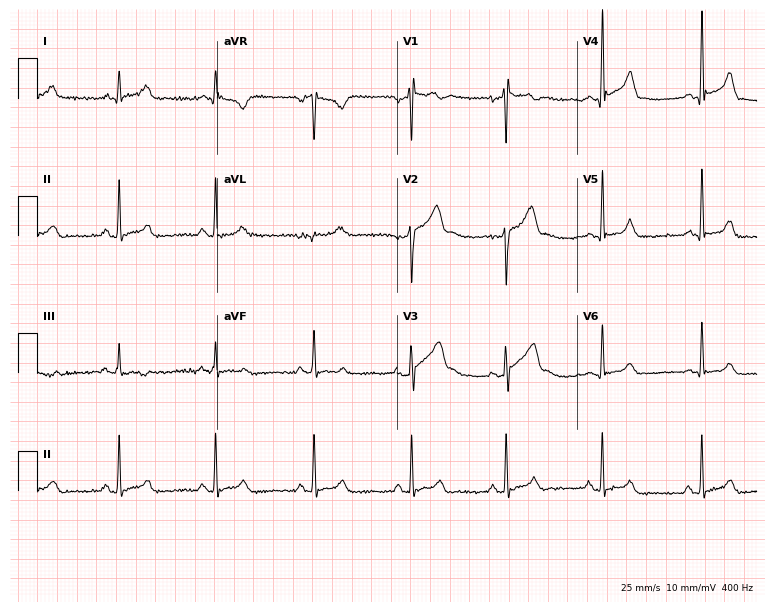
Standard 12-lead ECG recorded from a man, 49 years old (7.3-second recording at 400 Hz). None of these six findings is recorded: first-degree AV block, right bundle branch block, left bundle branch block, sinus bradycardia, atrial fibrillation, sinus tachycardia.